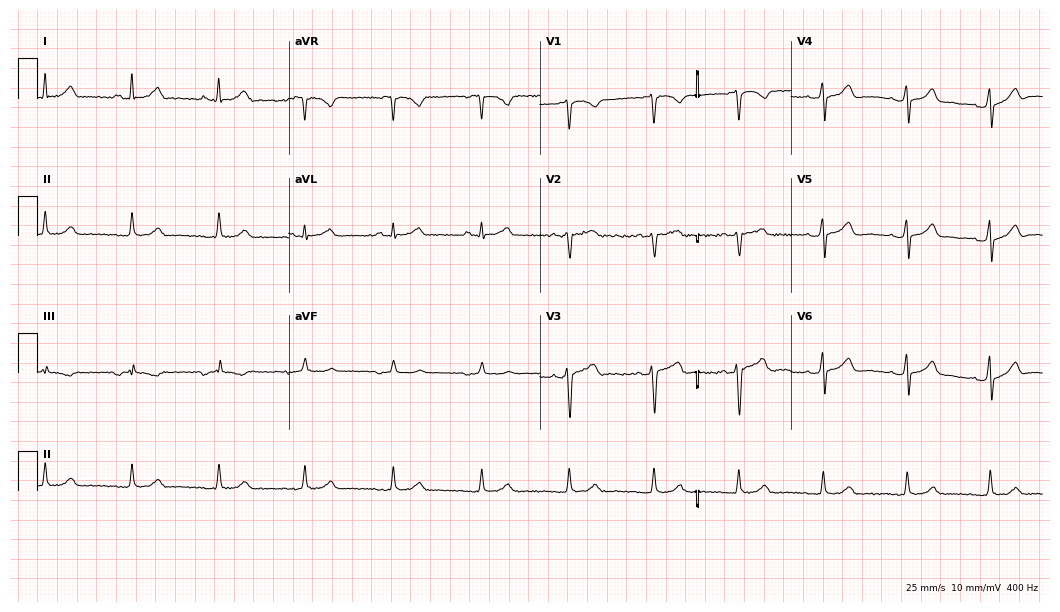
12-lead ECG from a 63-year-old male patient. No first-degree AV block, right bundle branch block (RBBB), left bundle branch block (LBBB), sinus bradycardia, atrial fibrillation (AF) or sinus tachycardia recorded for this tracing. Other findings, if any, are not listed.